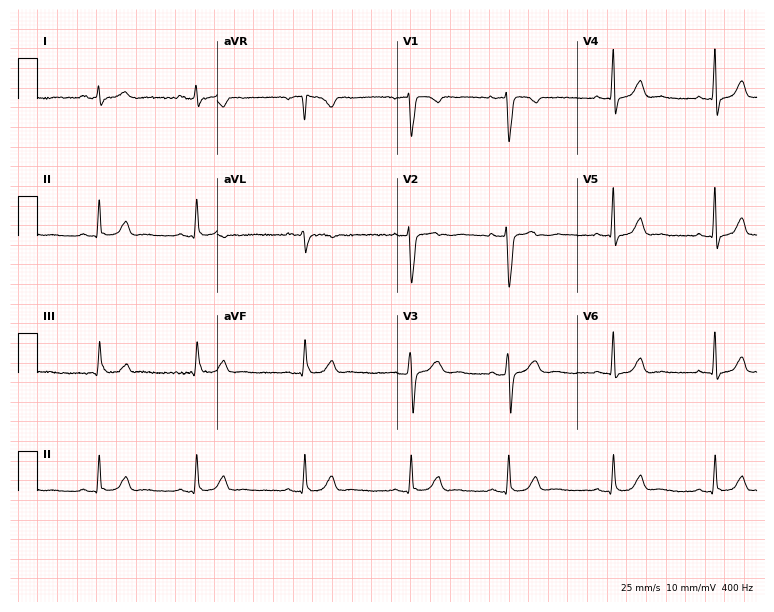
ECG — a woman, 27 years old. Labelled as a normal ECG.